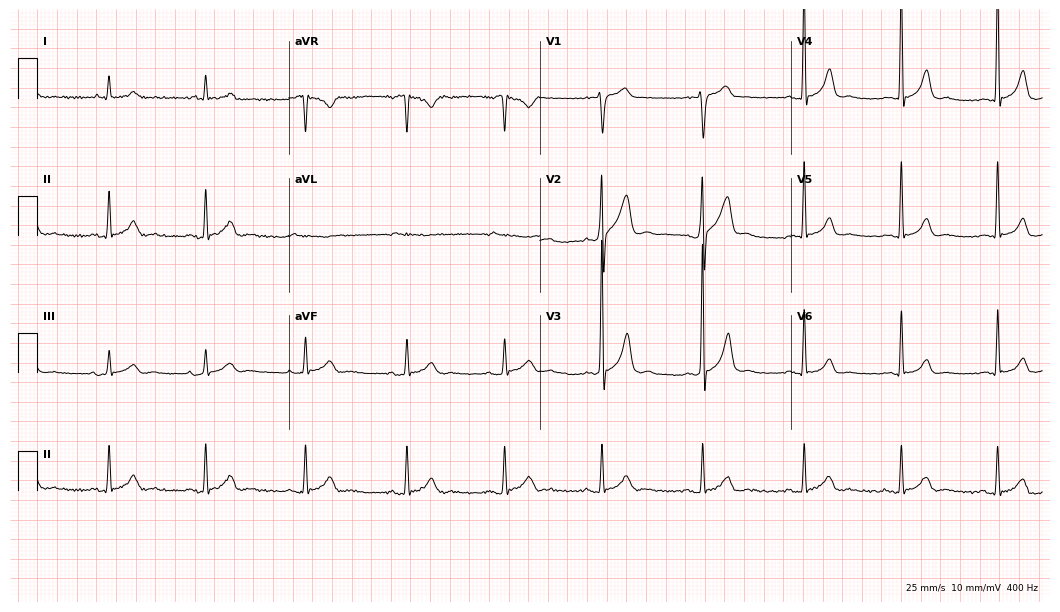
12-lead ECG from a male patient, 47 years old. Labelled as a normal ECG.